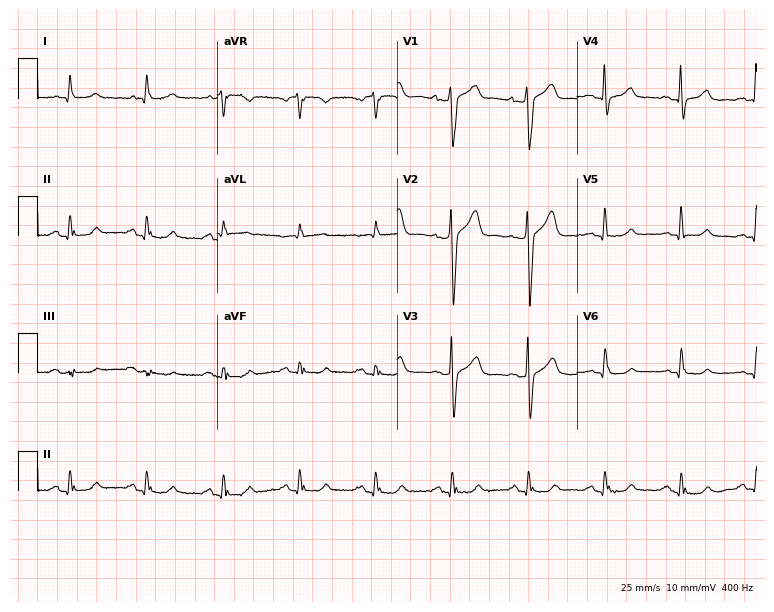
Resting 12-lead electrocardiogram. Patient: a male, 68 years old. Read as a normal ECG.